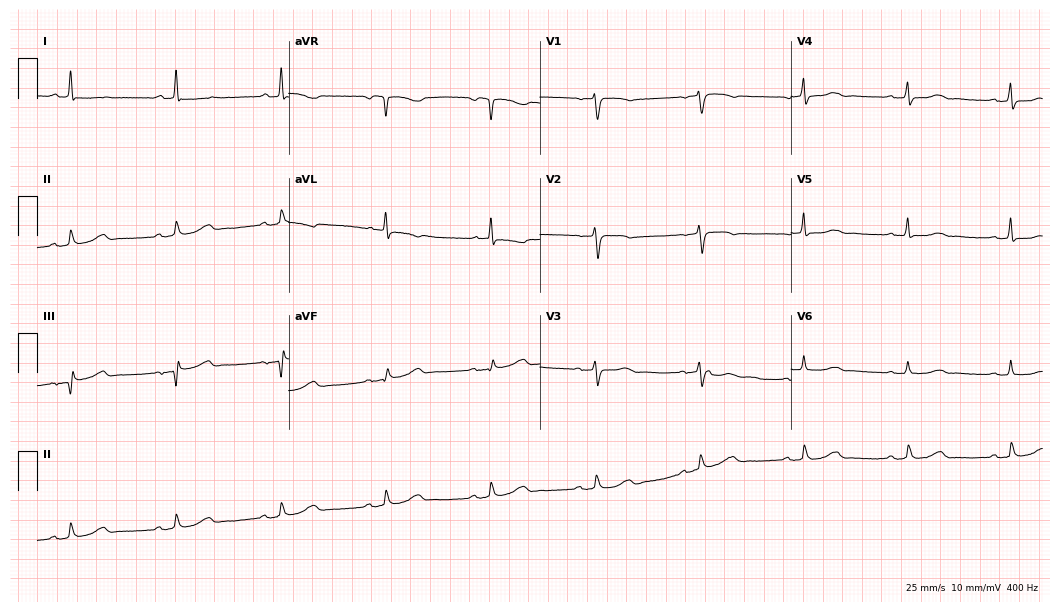
12-lead ECG from a 74-year-old woman. Labelled as a normal ECG.